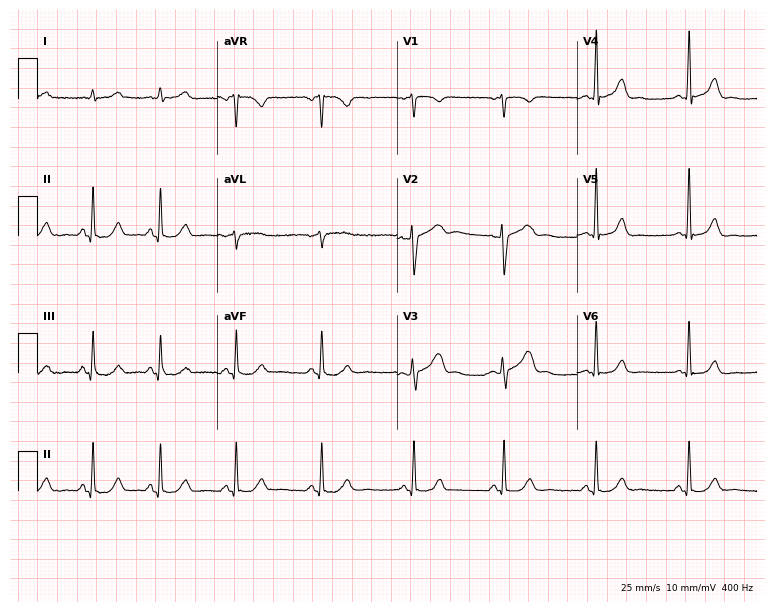
Standard 12-lead ECG recorded from a 38-year-old female. Read as a normal ECG.